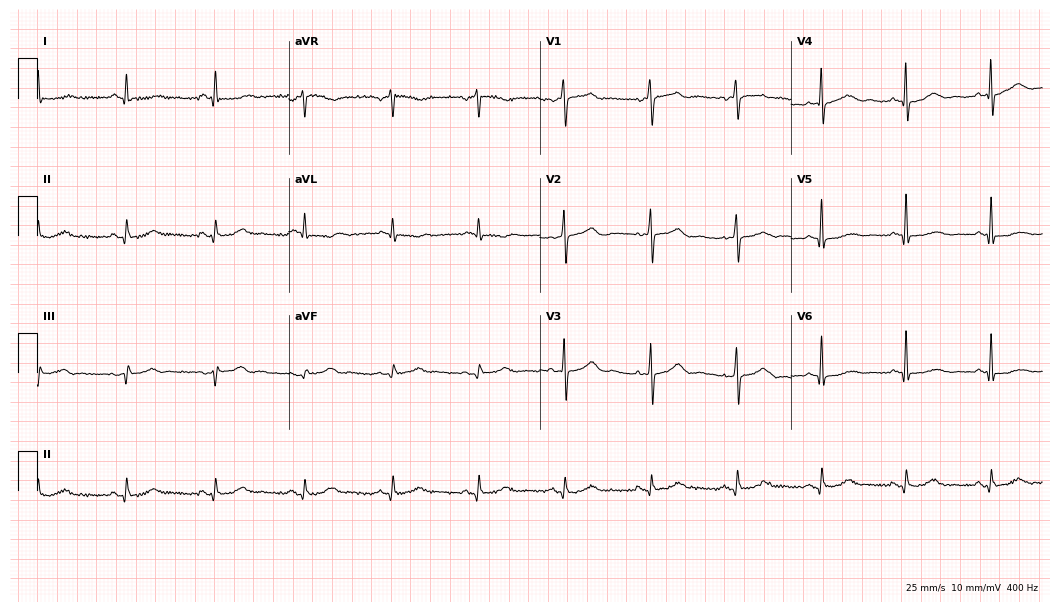
ECG — a 76-year-old male patient. Screened for six findings — first-degree AV block, right bundle branch block, left bundle branch block, sinus bradycardia, atrial fibrillation, sinus tachycardia — none is recorded. Only these six findings were labelled.